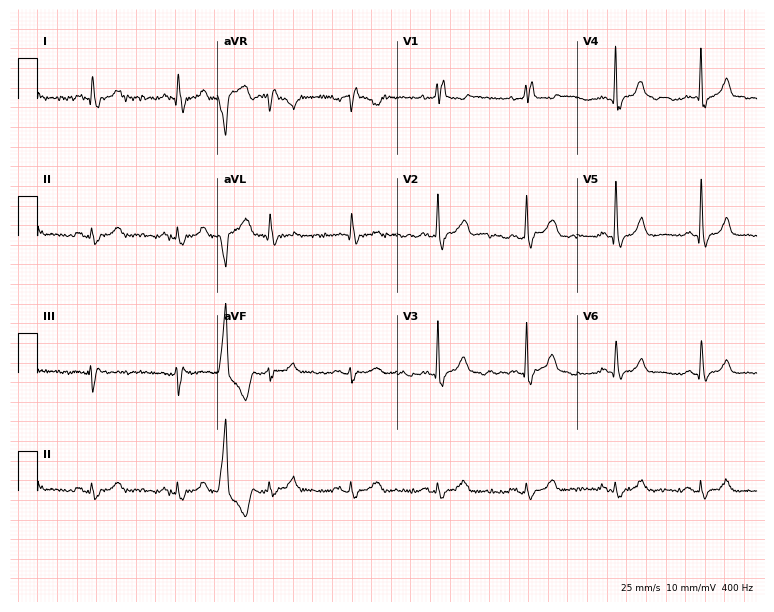
12-lead ECG from a 69-year-old man. Shows right bundle branch block.